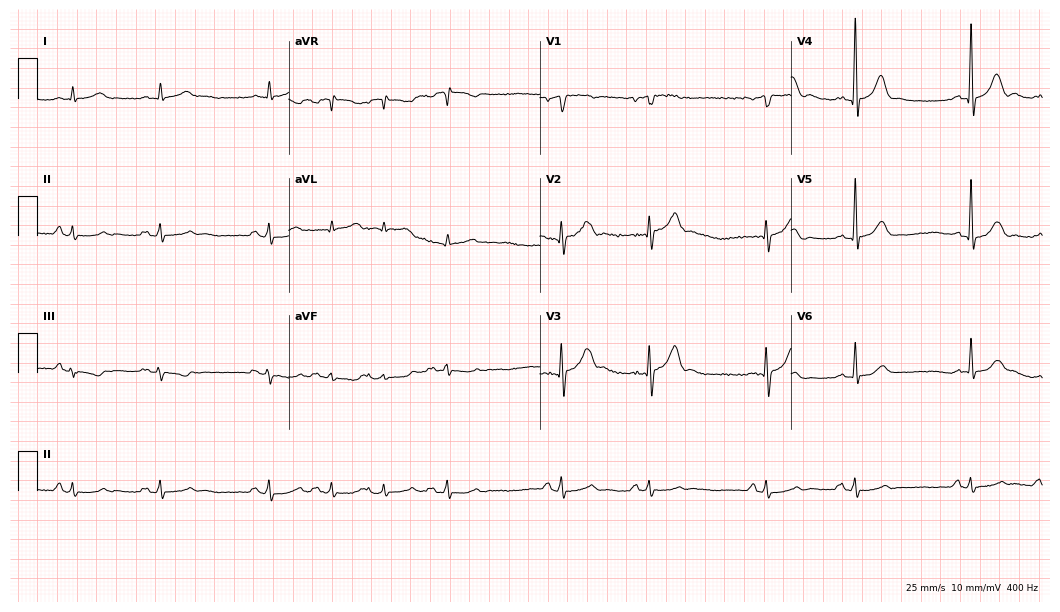
ECG (10.2-second recording at 400 Hz) — an 80-year-old male. Labelled as a normal ECG.